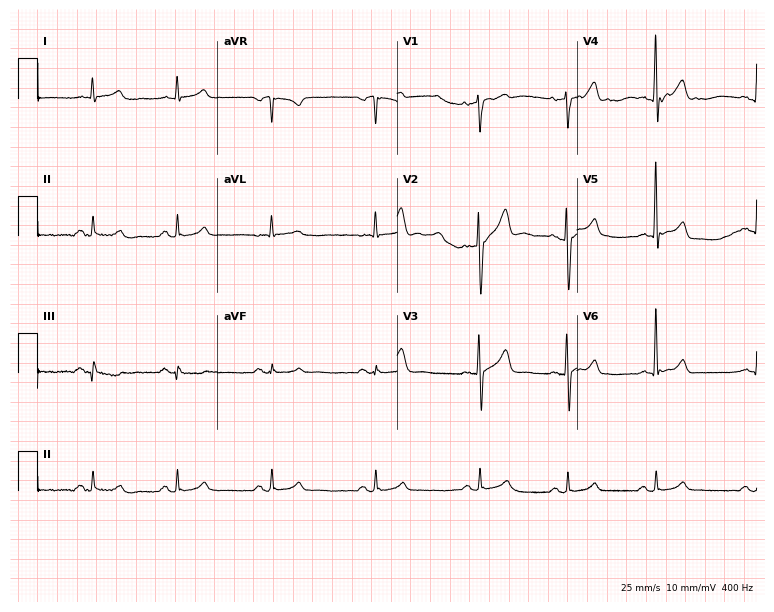
12-lead ECG (7.3-second recording at 400 Hz) from a female, 42 years old. Screened for six findings — first-degree AV block, right bundle branch block, left bundle branch block, sinus bradycardia, atrial fibrillation, sinus tachycardia — none is recorded.